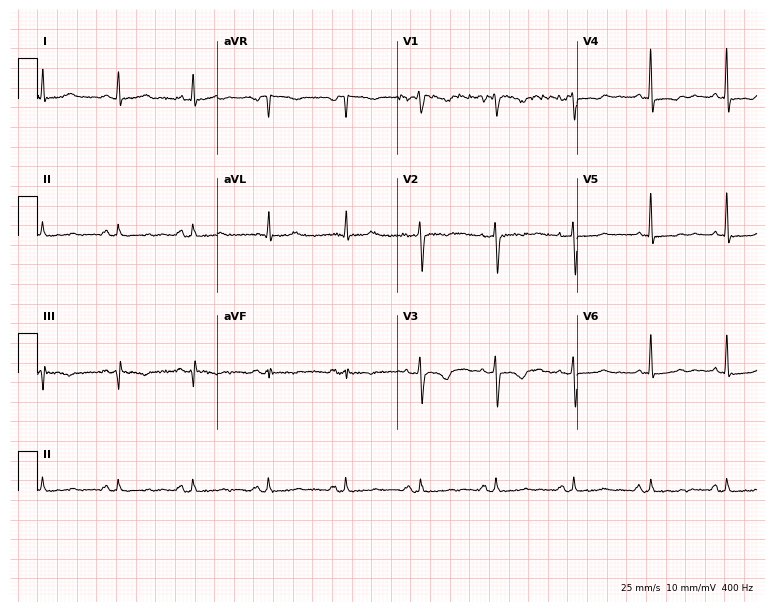
12-lead ECG (7.3-second recording at 400 Hz) from a woman, 46 years old. Screened for six findings — first-degree AV block, right bundle branch block (RBBB), left bundle branch block (LBBB), sinus bradycardia, atrial fibrillation (AF), sinus tachycardia — none is recorded.